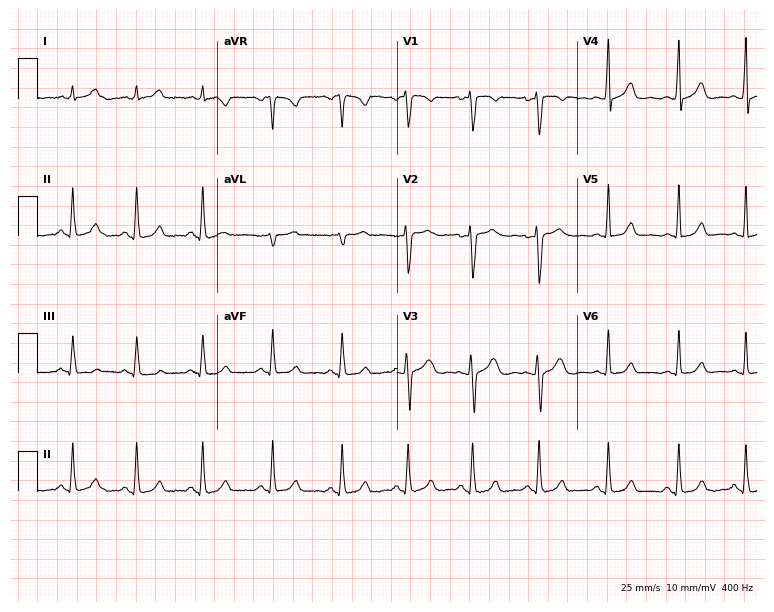
Standard 12-lead ECG recorded from a 29-year-old woman (7.3-second recording at 400 Hz). None of these six findings is recorded: first-degree AV block, right bundle branch block, left bundle branch block, sinus bradycardia, atrial fibrillation, sinus tachycardia. Other findings, if any, are not listed.